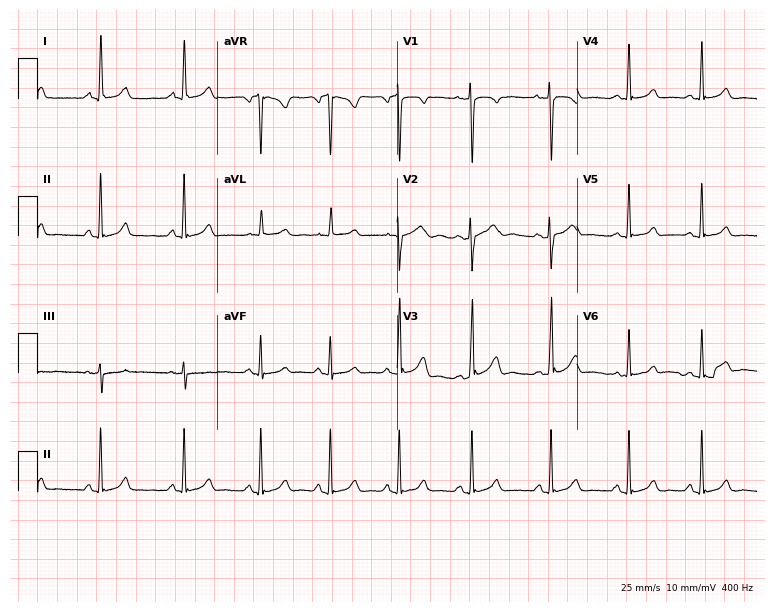
Standard 12-lead ECG recorded from a 24-year-old woman (7.3-second recording at 400 Hz). Read as a normal ECG.